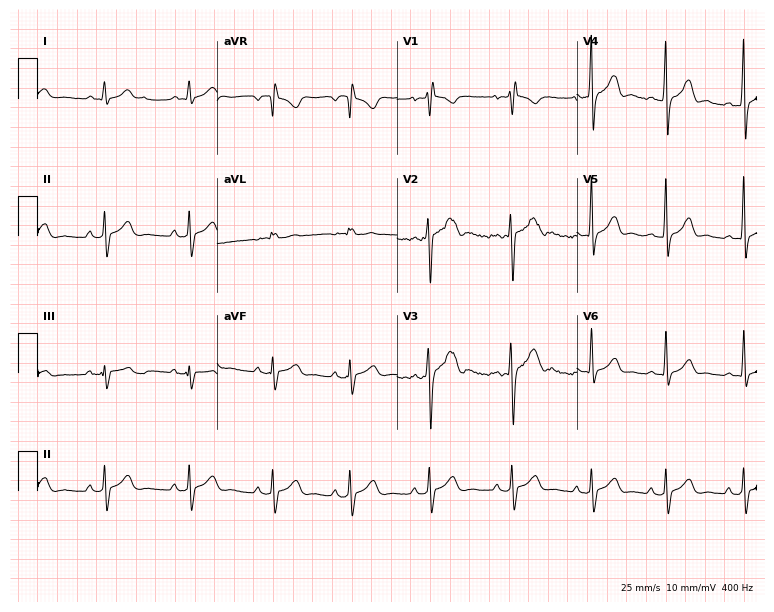
Electrocardiogram, a male, 18 years old. Of the six screened findings (first-degree AV block, right bundle branch block, left bundle branch block, sinus bradycardia, atrial fibrillation, sinus tachycardia), none is recorded. Only these six findings were labelled.